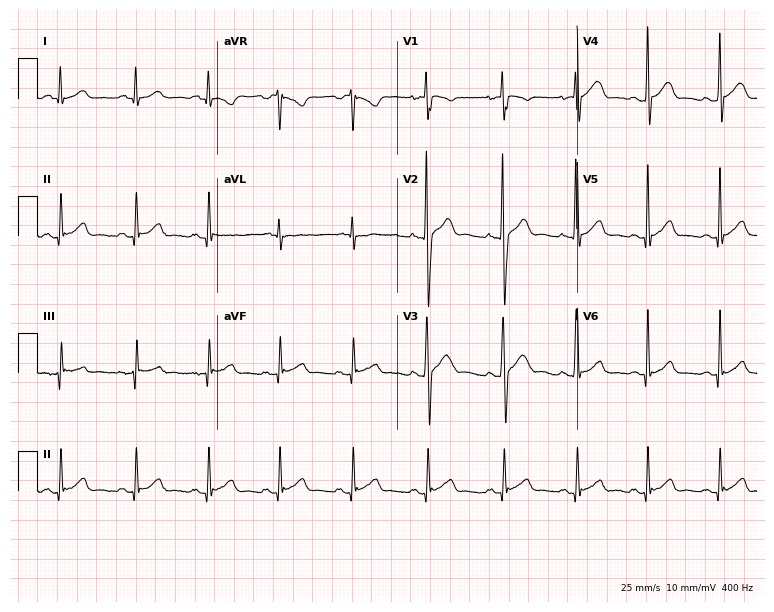
Standard 12-lead ECG recorded from a male patient, 19 years old (7.3-second recording at 400 Hz). None of these six findings is recorded: first-degree AV block, right bundle branch block, left bundle branch block, sinus bradycardia, atrial fibrillation, sinus tachycardia. Other findings, if any, are not listed.